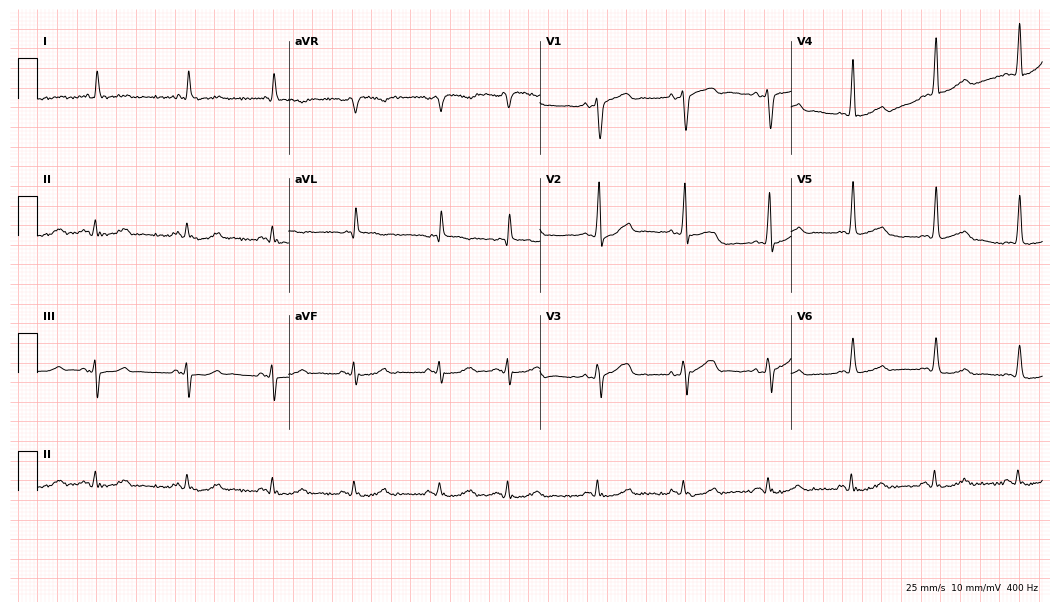
Resting 12-lead electrocardiogram (10.2-second recording at 400 Hz). Patient: a male, 83 years old. None of these six findings is recorded: first-degree AV block, right bundle branch block, left bundle branch block, sinus bradycardia, atrial fibrillation, sinus tachycardia. Other findings, if any, are not listed.